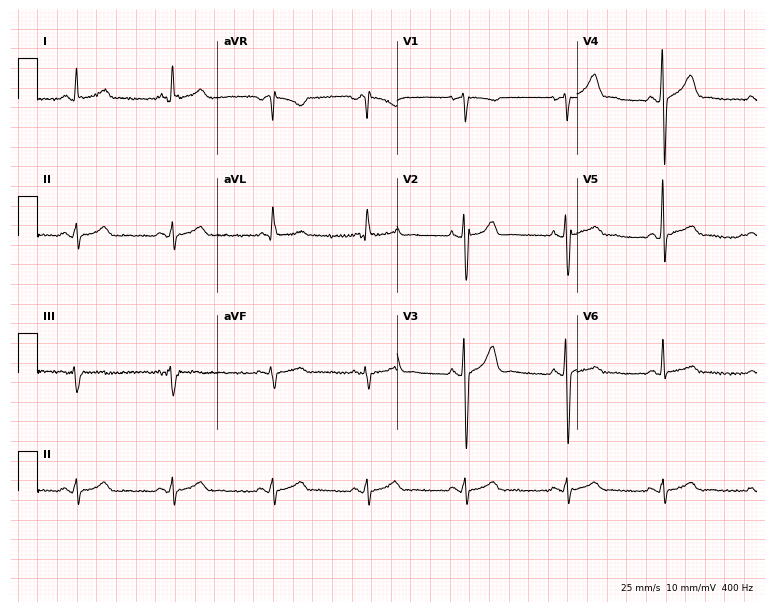
12-lead ECG from a 48-year-old male. Screened for six findings — first-degree AV block, right bundle branch block (RBBB), left bundle branch block (LBBB), sinus bradycardia, atrial fibrillation (AF), sinus tachycardia — none is recorded. Other findings, if any, are not listed.